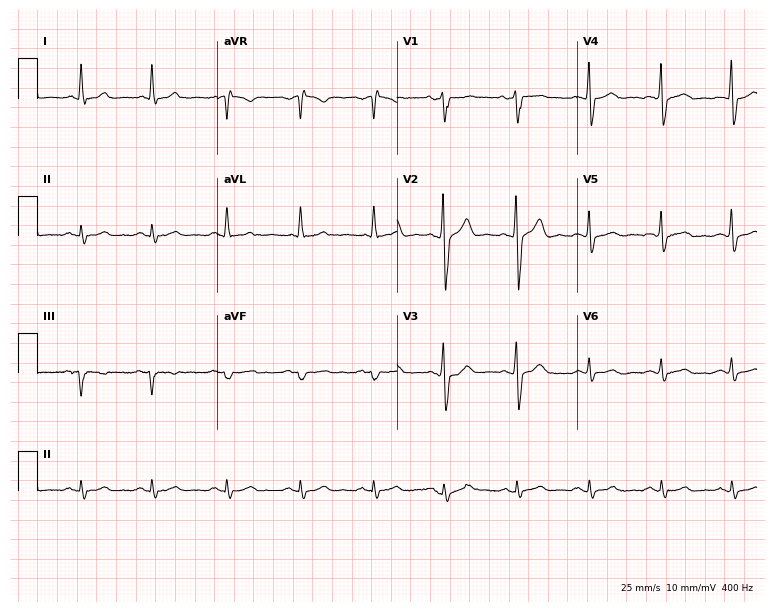
Resting 12-lead electrocardiogram (7.3-second recording at 400 Hz). Patient: a 69-year-old male. Read as a normal ECG.